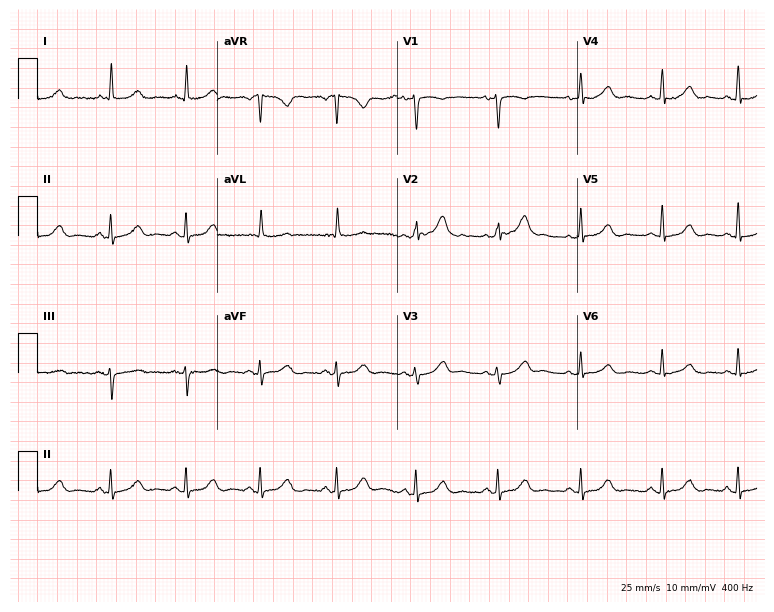
Electrocardiogram (7.3-second recording at 400 Hz), a 64-year-old female. Overall reading on record: normal ECG.